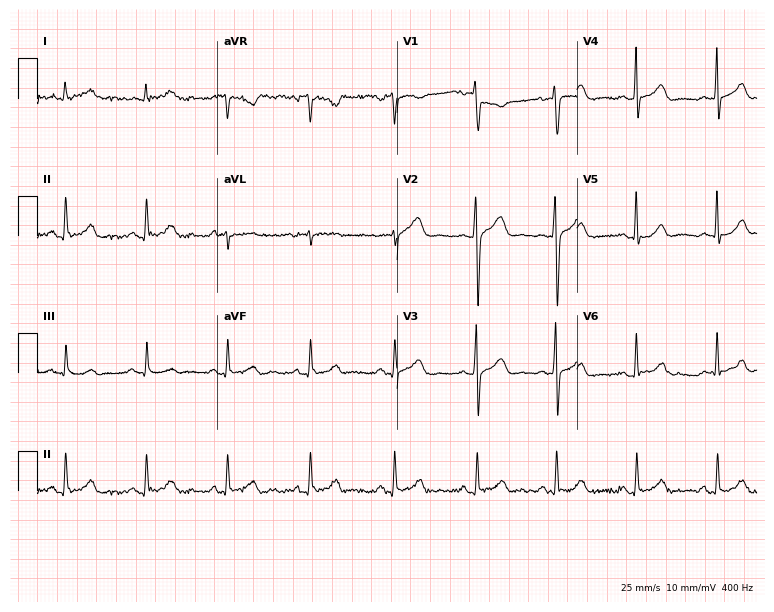
ECG — a woman, 28 years old. Labelled as a normal ECG.